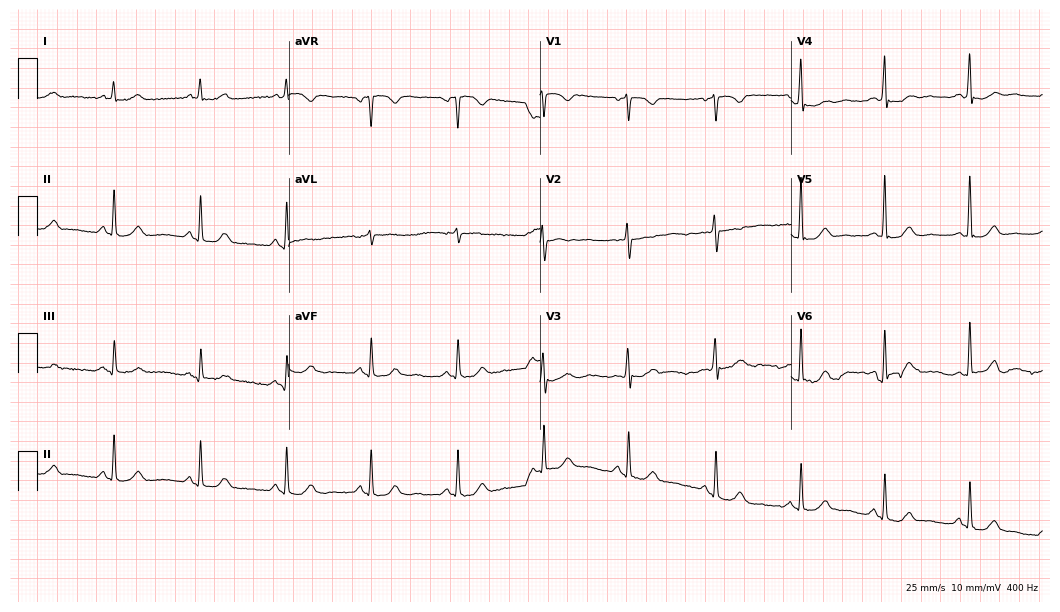
12-lead ECG from a female patient, 42 years old. Recorded interpretation: within normal limits.